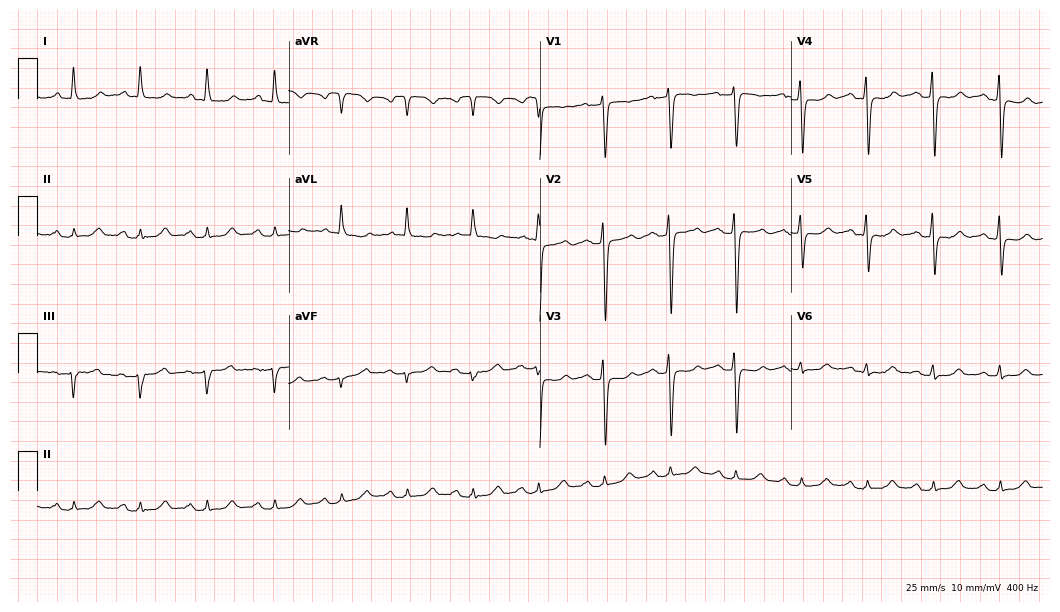
12-lead ECG from a female, 50 years old (10.2-second recording at 400 Hz). No first-degree AV block, right bundle branch block, left bundle branch block, sinus bradycardia, atrial fibrillation or sinus tachycardia recorded for this tracing.